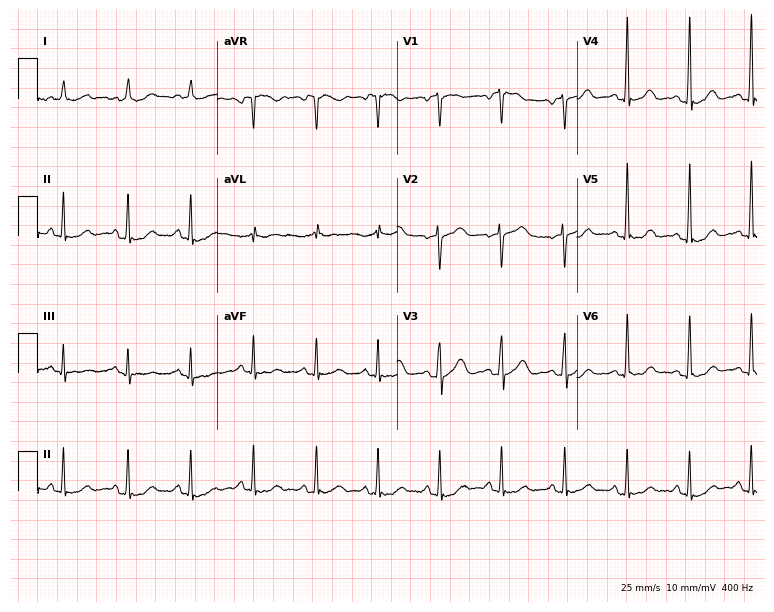
Resting 12-lead electrocardiogram. Patient: a female, 61 years old. None of these six findings is recorded: first-degree AV block, right bundle branch block, left bundle branch block, sinus bradycardia, atrial fibrillation, sinus tachycardia. Other findings, if any, are not listed.